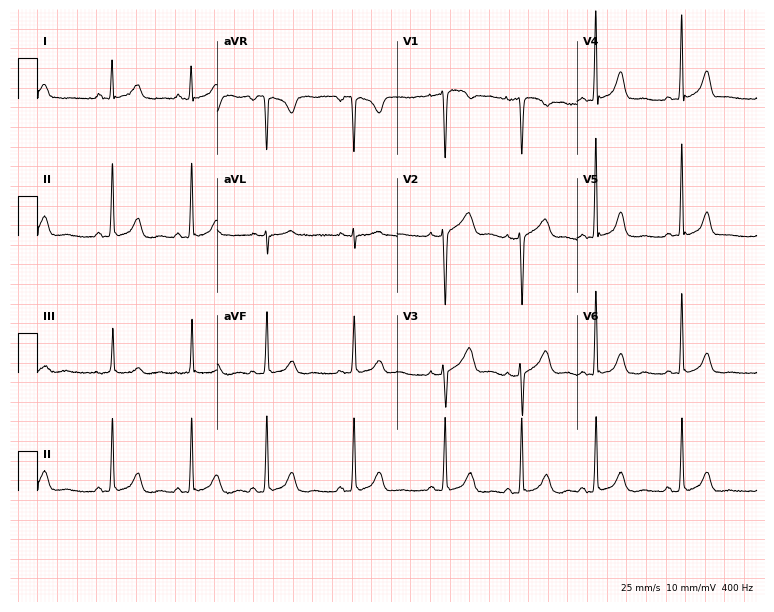
Standard 12-lead ECG recorded from a woman, 29 years old. None of these six findings is recorded: first-degree AV block, right bundle branch block (RBBB), left bundle branch block (LBBB), sinus bradycardia, atrial fibrillation (AF), sinus tachycardia. Only these six findings were labelled.